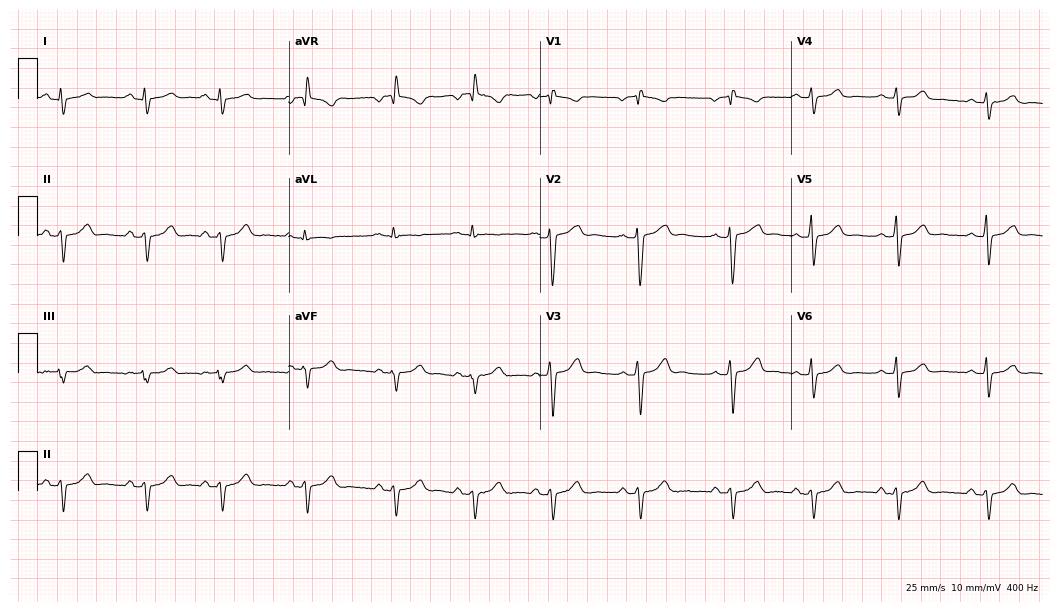
12-lead ECG (10.2-second recording at 400 Hz) from a 26-year-old female patient. Screened for six findings — first-degree AV block, right bundle branch block (RBBB), left bundle branch block (LBBB), sinus bradycardia, atrial fibrillation (AF), sinus tachycardia — none is recorded. Other findings, if any, are not listed.